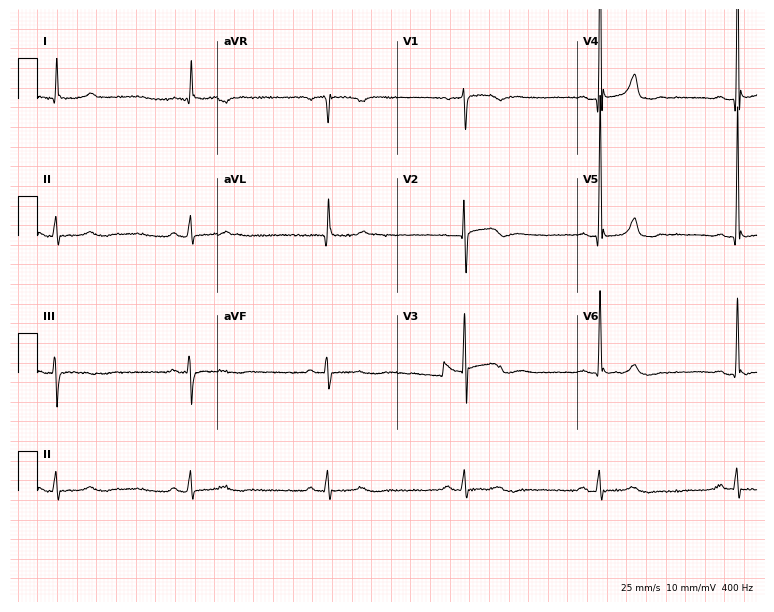
Electrocardiogram, a 73-year-old male. Of the six screened findings (first-degree AV block, right bundle branch block, left bundle branch block, sinus bradycardia, atrial fibrillation, sinus tachycardia), none is recorded. Other findings, if any, are not listed.